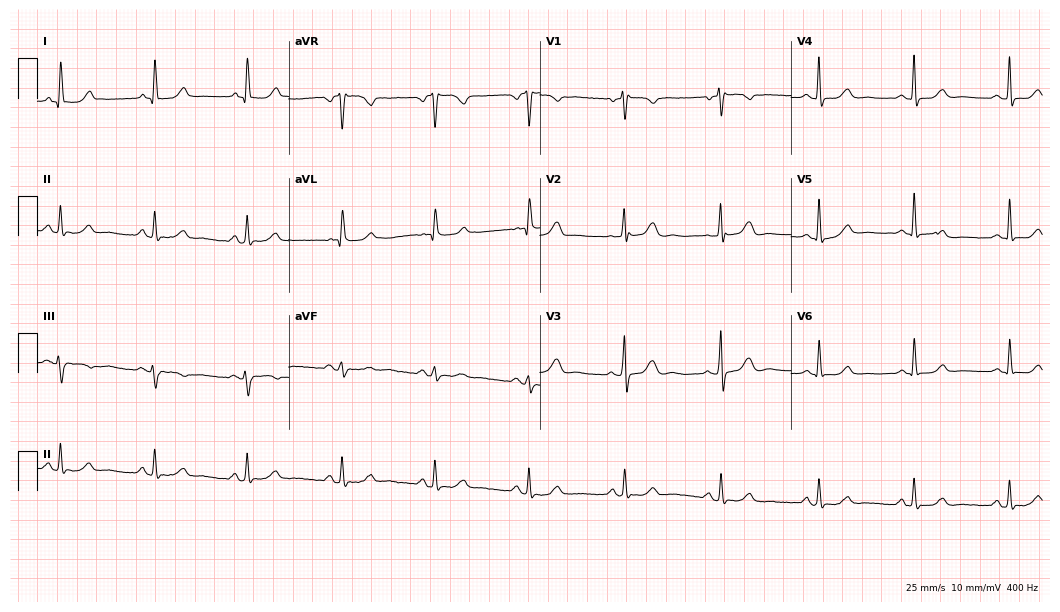
12-lead ECG from a 61-year-old woman. No first-degree AV block, right bundle branch block (RBBB), left bundle branch block (LBBB), sinus bradycardia, atrial fibrillation (AF) or sinus tachycardia recorded for this tracing. Only these six findings were labelled.